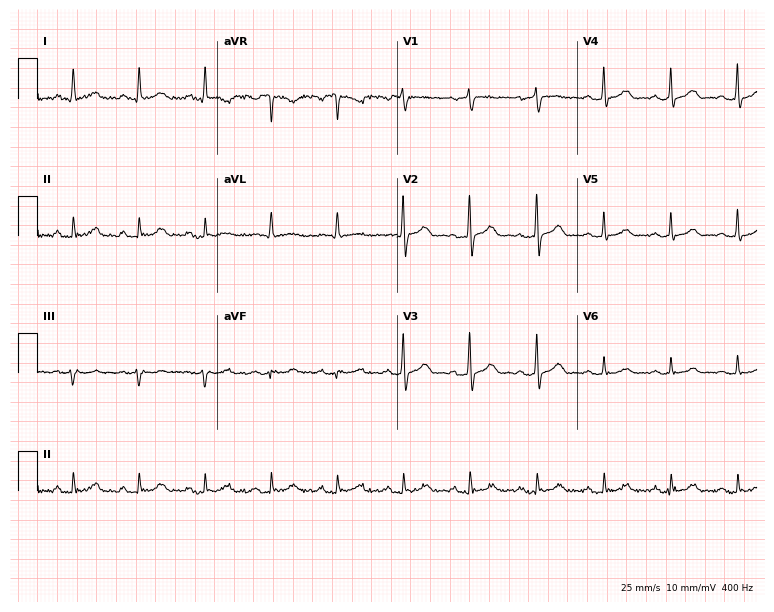
Electrocardiogram (7.3-second recording at 400 Hz), a 68-year-old woman. Of the six screened findings (first-degree AV block, right bundle branch block (RBBB), left bundle branch block (LBBB), sinus bradycardia, atrial fibrillation (AF), sinus tachycardia), none is recorded.